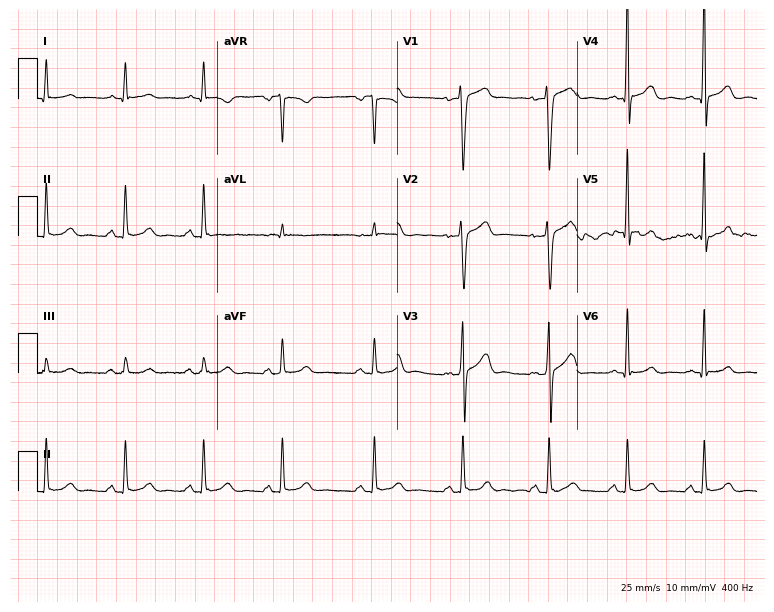
Resting 12-lead electrocardiogram (7.3-second recording at 400 Hz). Patient: a male, 46 years old. Read as a normal ECG.